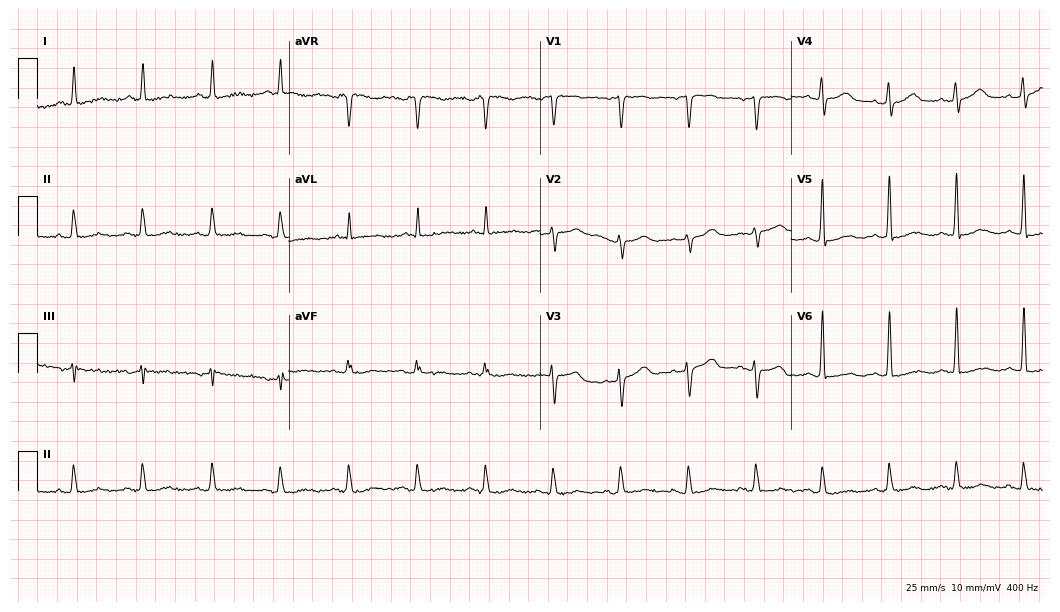
ECG (10.2-second recording at 400 Hz) — a female patient, 65 years old. Screened for six findings — first-degree AV block, right bundle branch block (RBBB), left bundle branch block (LBBB), sinus bradycardia, atrial fibrillation (AF), sinus tachycardia — none is recorded.